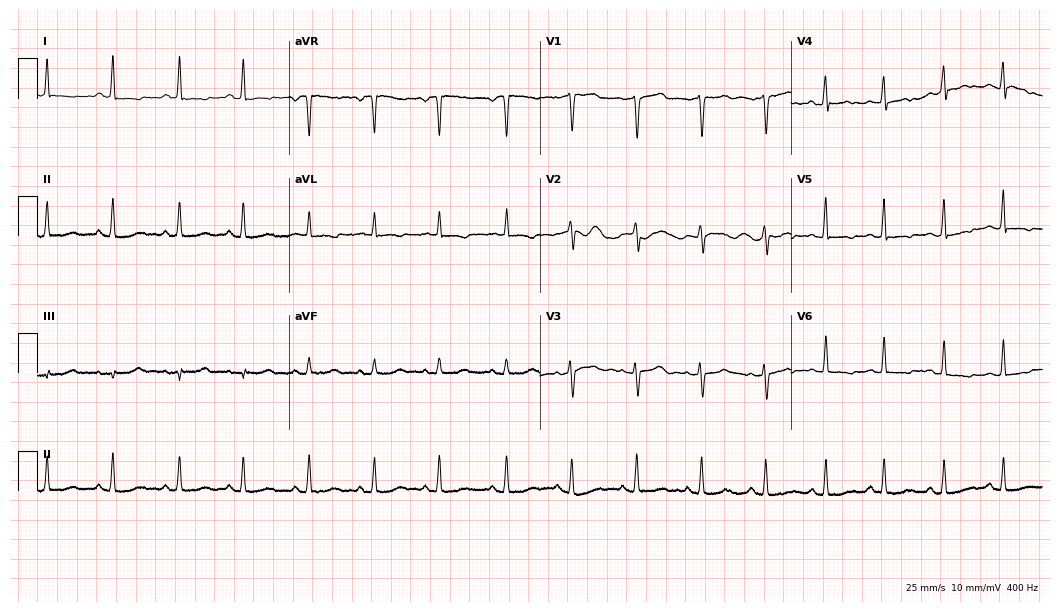
Standard 12-lead ECG recorded from a female, 49 years old (10.2-second recording at 400 Hz). None of these six findings is recorded: first-degree AV block, right bundle branch block, left bundle branch block, sinus bradycardia, atrial fibrillation, sinus tachycardia. Findings outside these six are not listed.